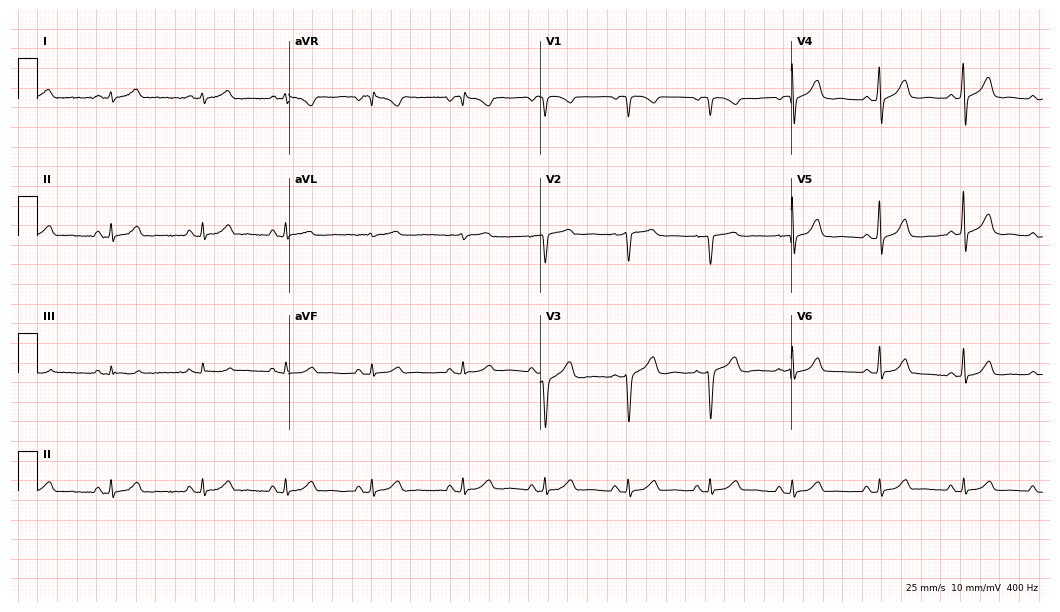
ECG — a woman, 48 years old. Screened for six findings — first-degree AV block, right bundle branch block (RBBB), left bundle branch block (LBBB), sinus bradycardia, atrial fibrillation (AF), sinus tachycardia — none is recorded. Only these six findings were labelled.